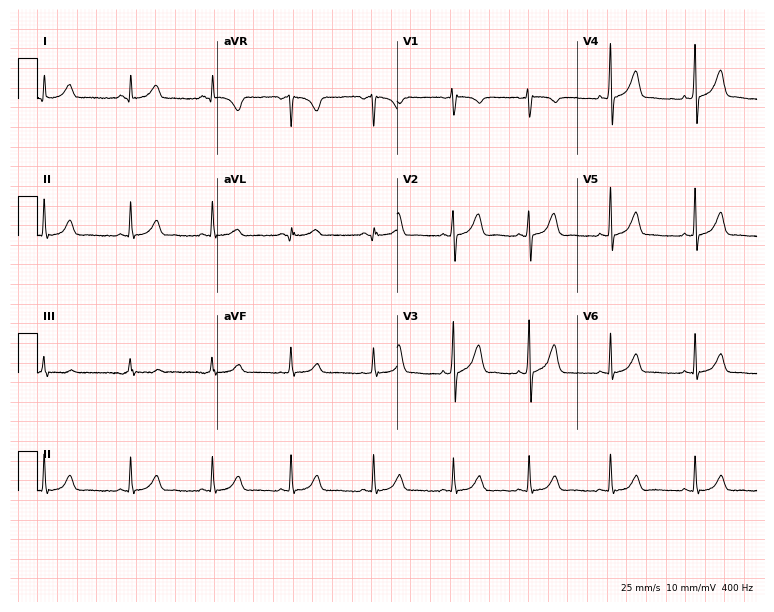
12-lead ECG (7.3-second recording at 400 Hz) from a female patient, 22 years old. Screened for six findings — first-degree AV block, right bundle branch block, left bundle branch block, sinus bradycardia, atrial fibrillation, sinus tachycardia — none is recorded.